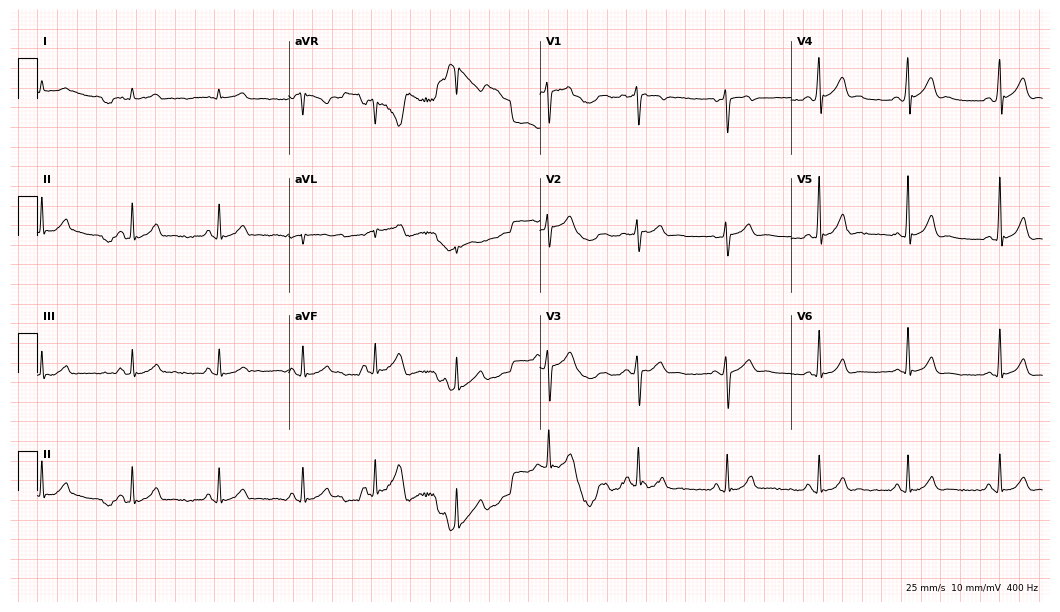
Electrocardiogram (10.2-second recording at 400 Hz), a man, 20 years old. Overall reading on record: normal ECG.